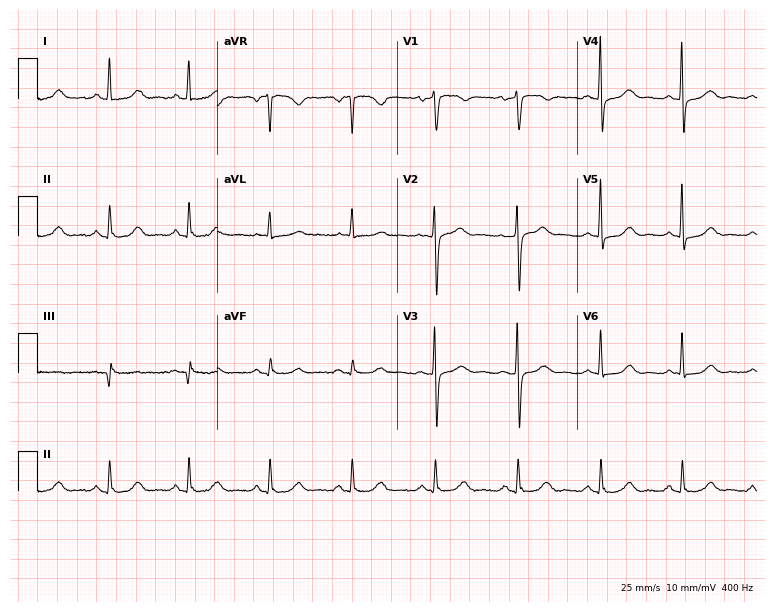
Electrocardiogram (7.3-second recording at 400 Hz), a female, 68 years old. Of the six screened findings (first-degree AV block, right bundle branch block (RBBB), left bundle branch block (LBBB), sinus bradycardia, atrial fibrillation (AF), sinus tachycardia), none is recorded. Only these six findings were labelled.